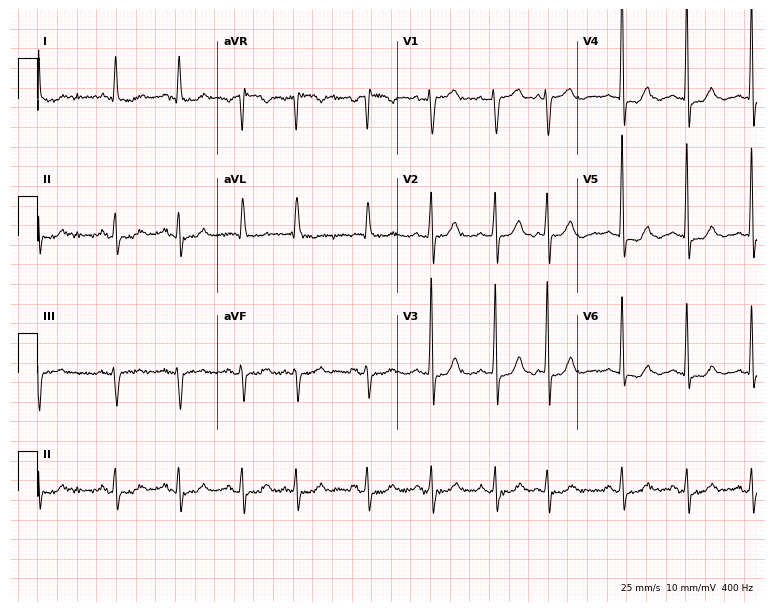
Electrocardiogram (7.3-second recording at 400 Hz), a female, 73 years old. Of the six screened findings (first-degree AV block, right bundle branch block, left bundle branch block, sinus bradycardia, atrial fibrillation, sinus tachycardia), none is recorded. Findings outside these six are not listed.